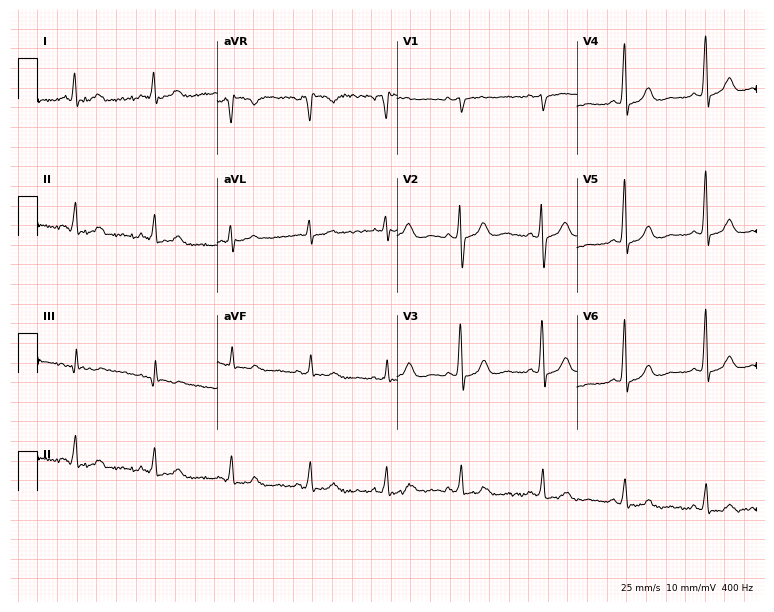
Standard 12-lead ECG recorded from a 45-year-old female (7.3-second recording at 400 Hz). None of these six findings is recorded: first-degree AV block, right bundle branch block, left bundle branch block, sinus bradycardia, atrial fibrillation, sinus tachycardia.